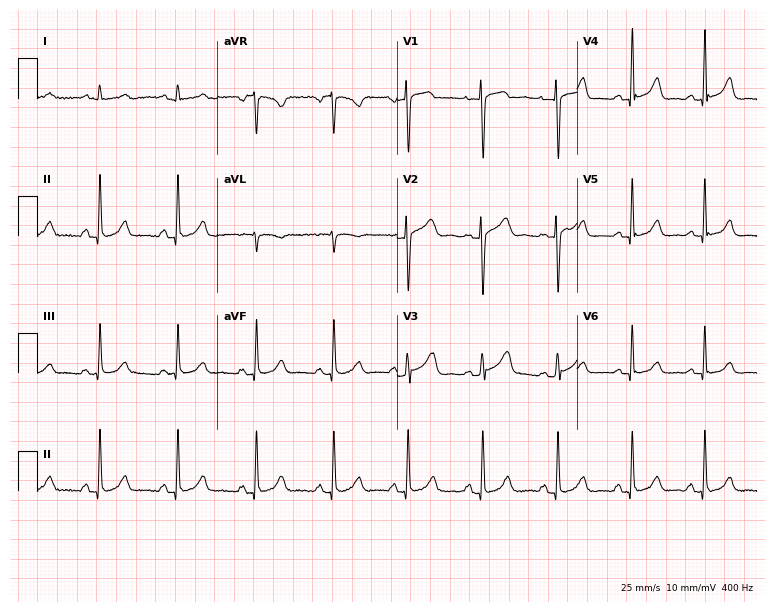
Electrocardiogram, a 27-year-old female patient. Of the six screened findings (first-degree AV block, right bundle branch block, left bundle branch block, sinus bradycardia, atrial fibrillation, sinus tachycardia), none is recorded. Other findings, if any, are not listed.